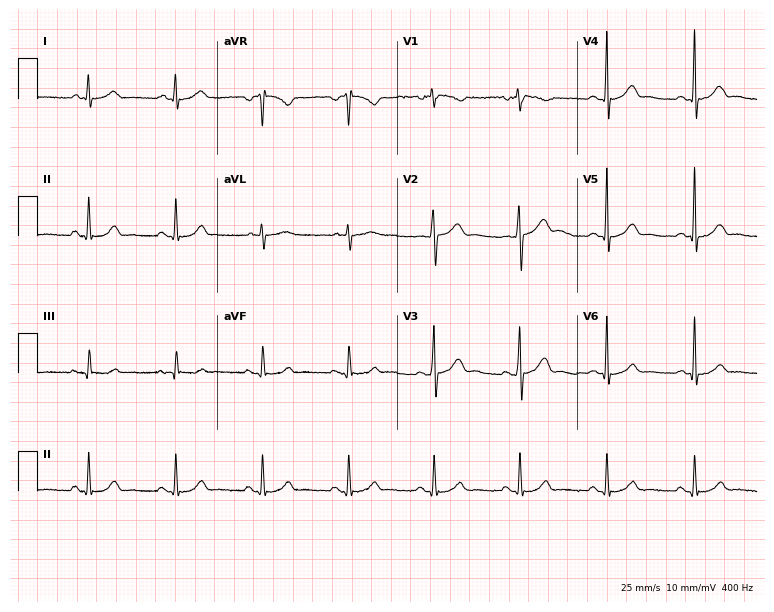
Electrocardiogram (7.3-second recording at 400 Hz), a man, 46 years old. Overall reading on record: normal ECG.